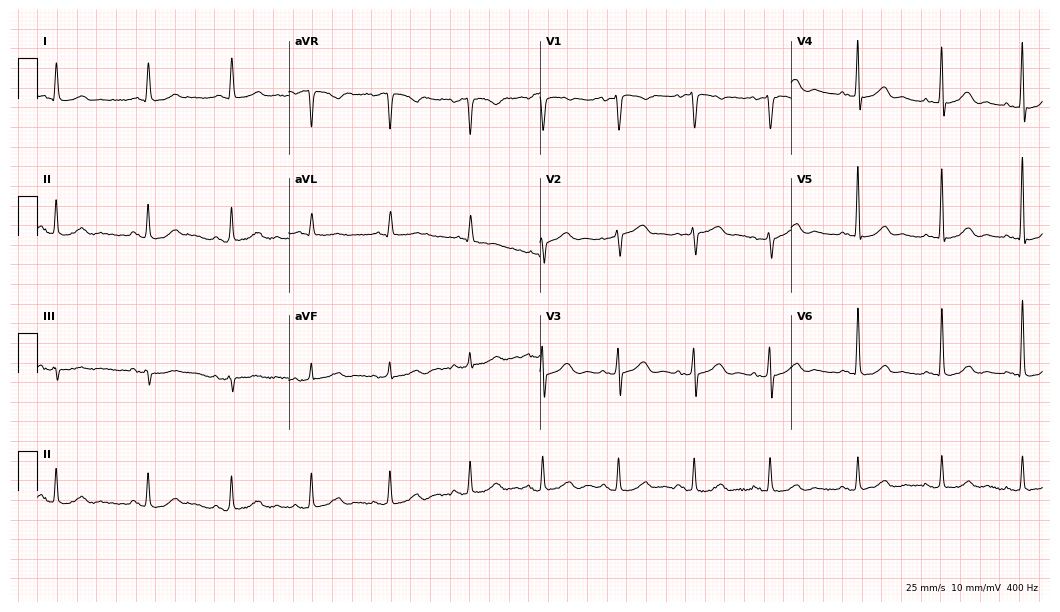
Standard 12-lead ECG recorded from a 75-year-old female patient (10.2-second recording at 400 Hz). Read as a normal ECG.